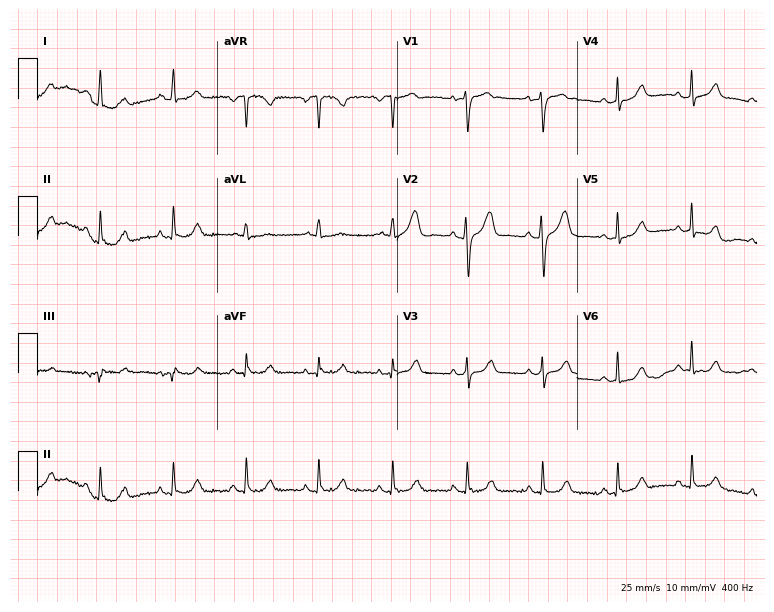
12-lead ECG (7.3-second recording at 400 Hz) from a woman, 65 years old. Labelled as a normal ECG.